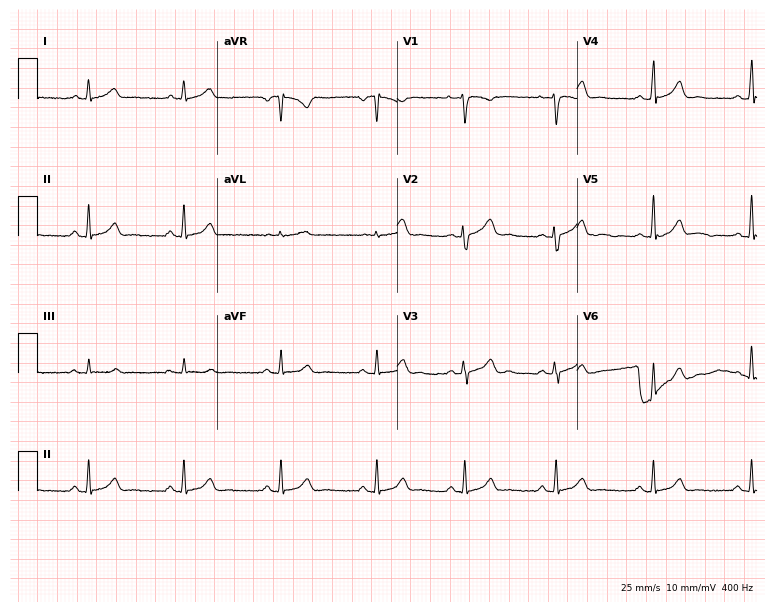
ECG — a woman, 32 years old. Labelled as a normal ECG.